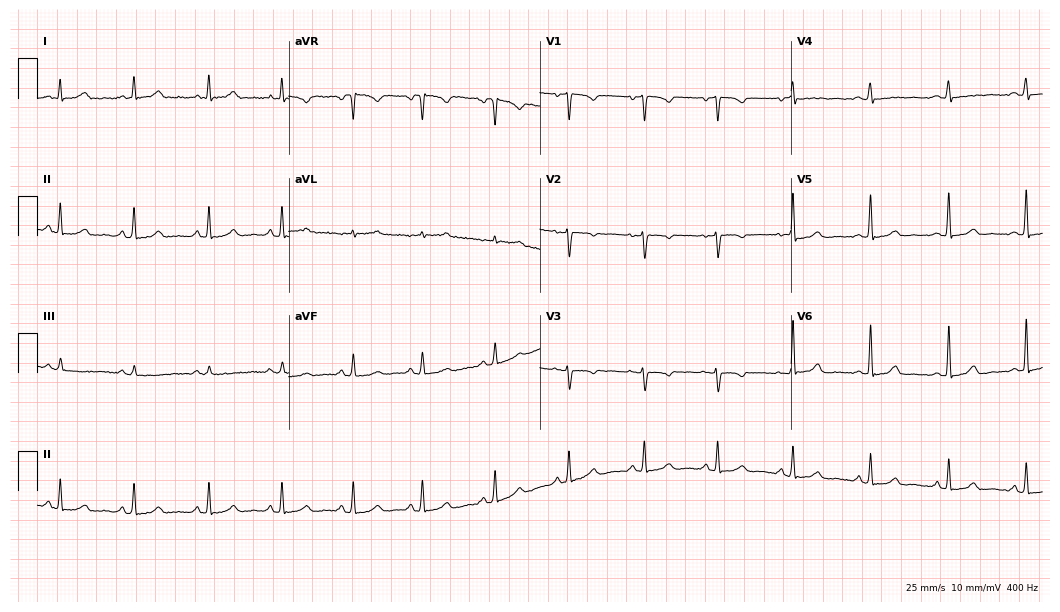
12-lead ECG from a 32-year-old woman. No first-degree AV block, right bundle branch block, left bundle branch block, sinus bradycardia, atrial fibrillation or sinus tachycardia recorded for this tracing.